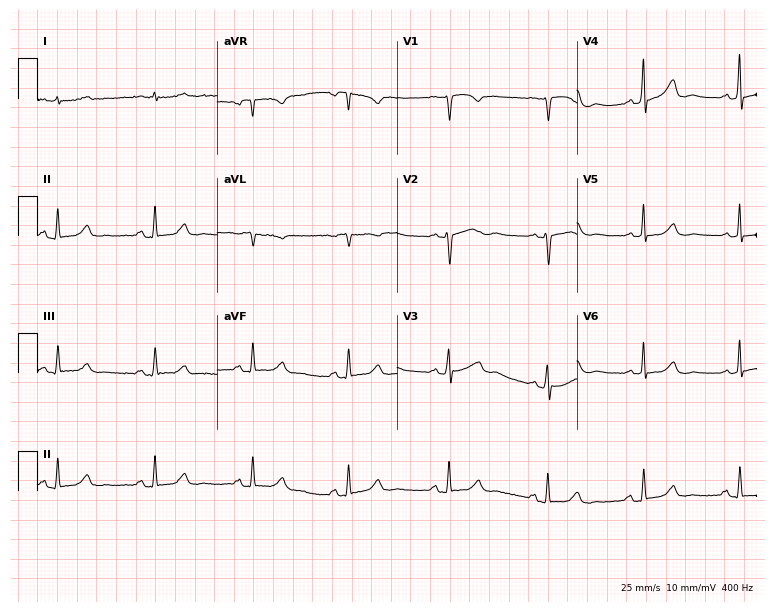
Resting 12-lead electrocardiogram (7.3-second recording at 400 Hz). Patient: a woman, 66 years old. None of these six findings is recorded: first-degree AV block, right bundle branch block, left bundle branch block, sinus bradycardia, atrial fibrillation, sinus tachycardia. Findings outside these six are not listed.